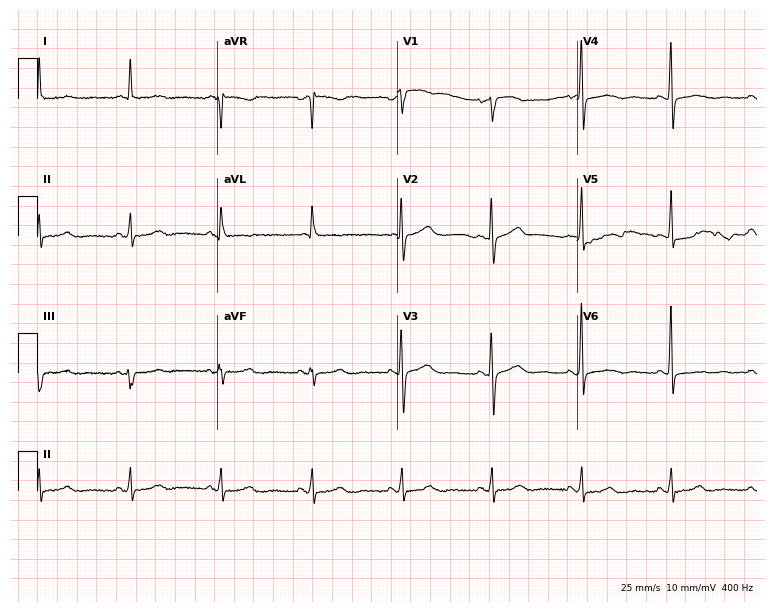
12-lead ECG from a female patient, 64 years old (7.3-second recording at 400 Hz). Recorded interpretation: within normal limits.